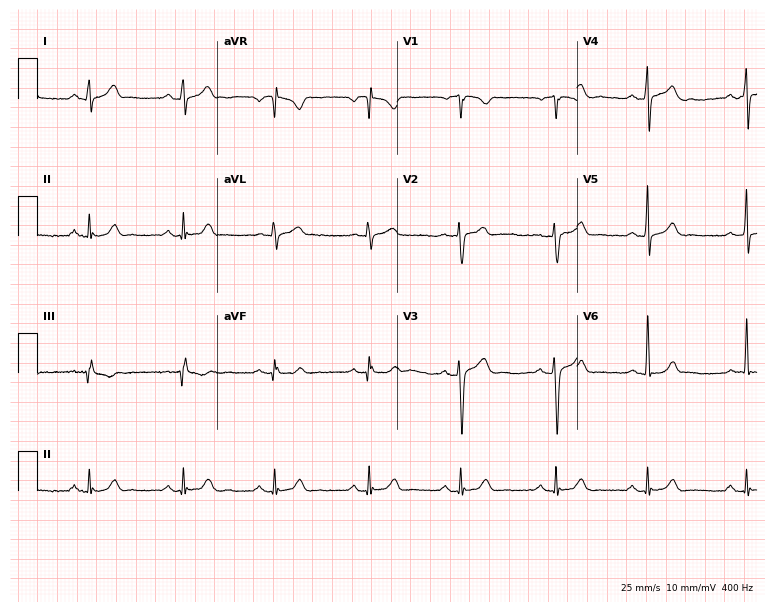
Resting 12-lead electrocardiogram (7.3-second recording at 400 Hz). Patient: a male, 36 years old. Read as a normal ECG.